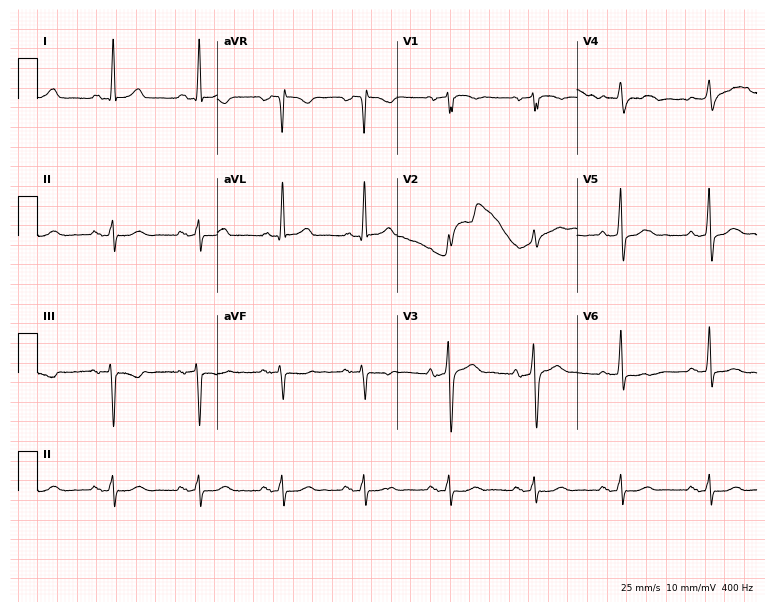
12-lead ECG from a 63-year-old man. Recorded interpretation: within normal limits.